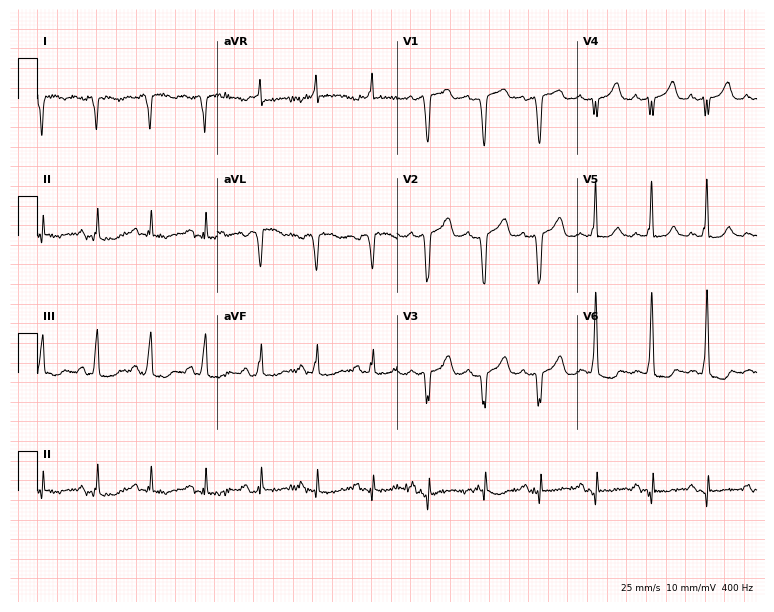
Standard 12-lead ECG recorded from a female, 83 years old. None of these six findings is recorded: first-degree AV block, right bundle branch block, left bundle branch block, sinus bradycardia, atrial fibrillation, sinus tachycardia. Findings outside these six are not listed.